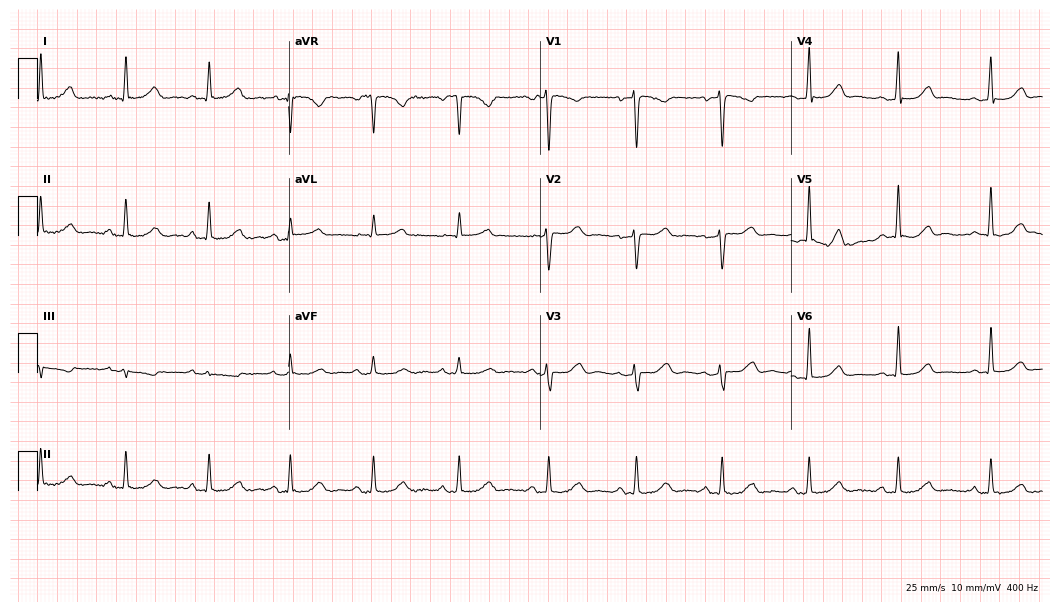
Electrocardiogram, a female patient, 51 years old. Overall reading on record: normal ECG.